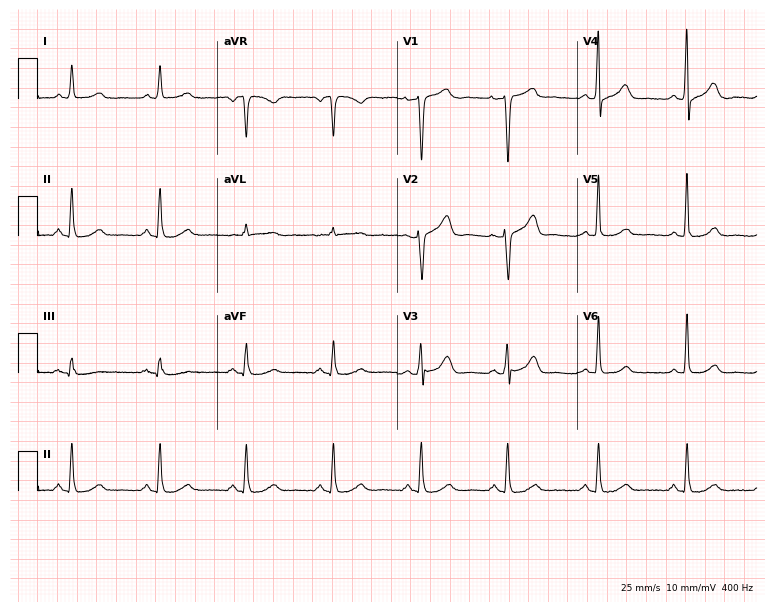
12-lead ECG from a 62-year-old female. No first-degree AV block, right bundle branch block, left bundle branch block, sinus bradycardia, atrial fibrillation or sinus tachycardia recorded for this tracing.